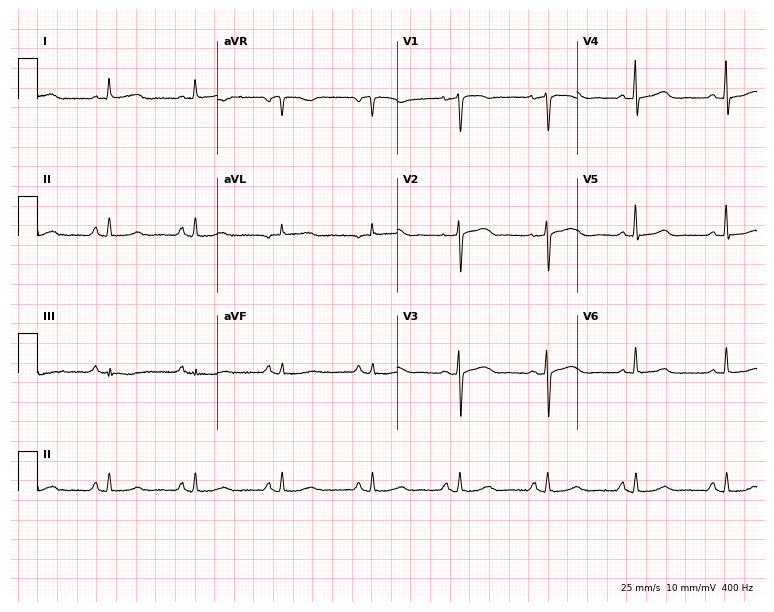
12-lead ECG from a 75-year-old woman. Recorded interpretation: within normal limits.